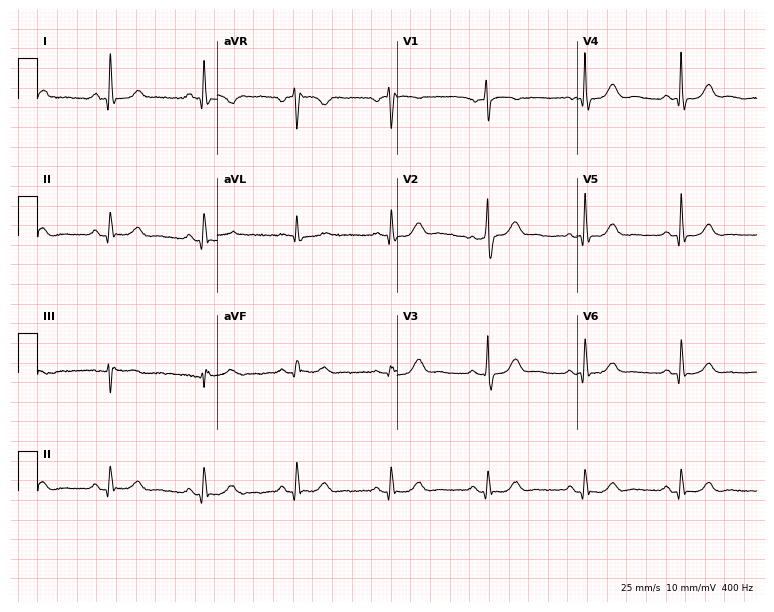
12-lead ECG from a 64-year-old man. Screened for six findings — first-degree AV block, right bundle branch block, left bundle branch block, sinus bradycardia, atrial fibrillation, sinus tachycardia — none is recorded. Only these six findings were labelled.